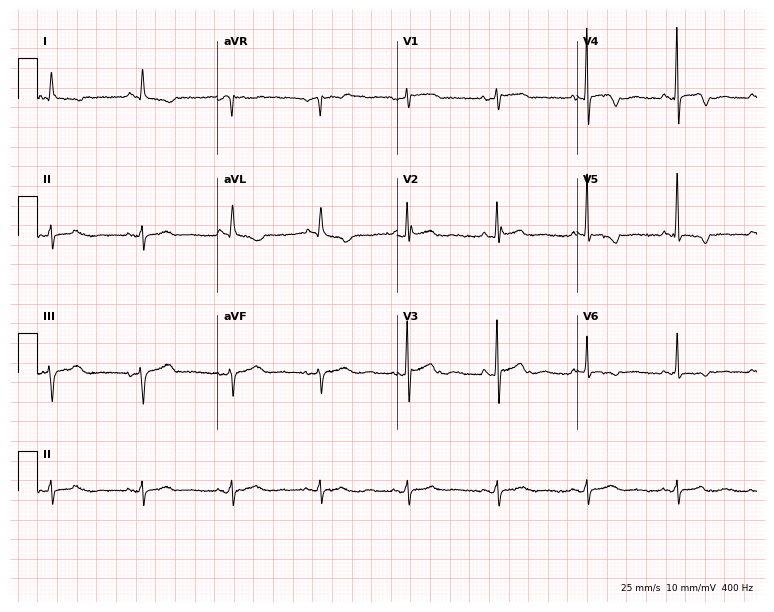
12-lead ECG (7.3-second recording at 400 Hz) from a female, 68 years old. Screened for six findings — first-degree AV block, right bundle branch block, left bundle branch block, sinus bradycardia, atrial fibrillation, sinus tachycardia — none is recorded.